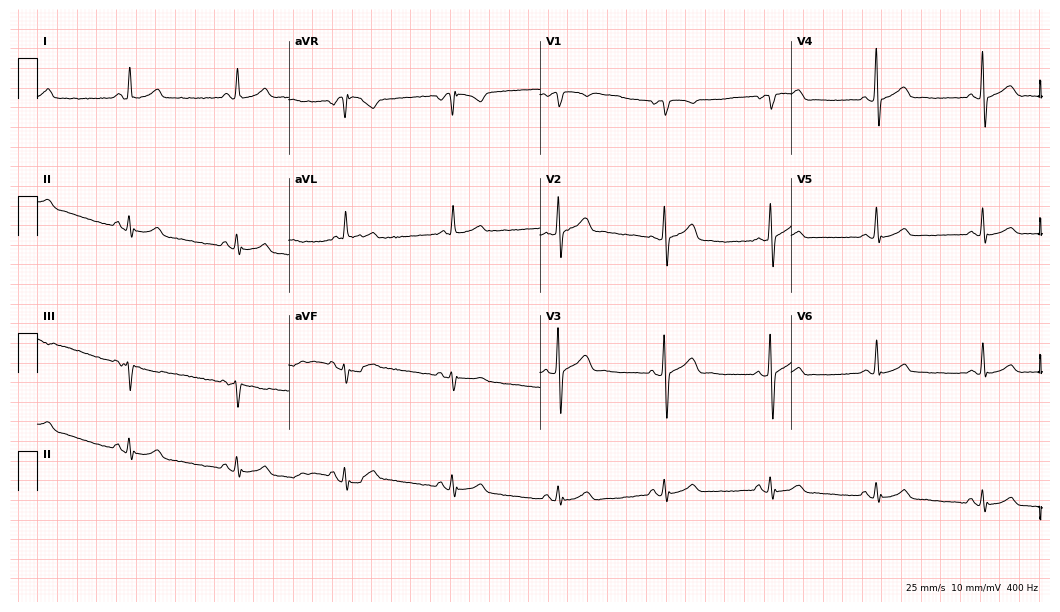
ECG — a 67-year-old female patient. Screened for six findings — first-degree AV block, right bundle branch block, left bundle branch block, sinus bradycardia, atrial fibrillation, sinus tachycardia — none is recorded. Findings outside these six are not listed.